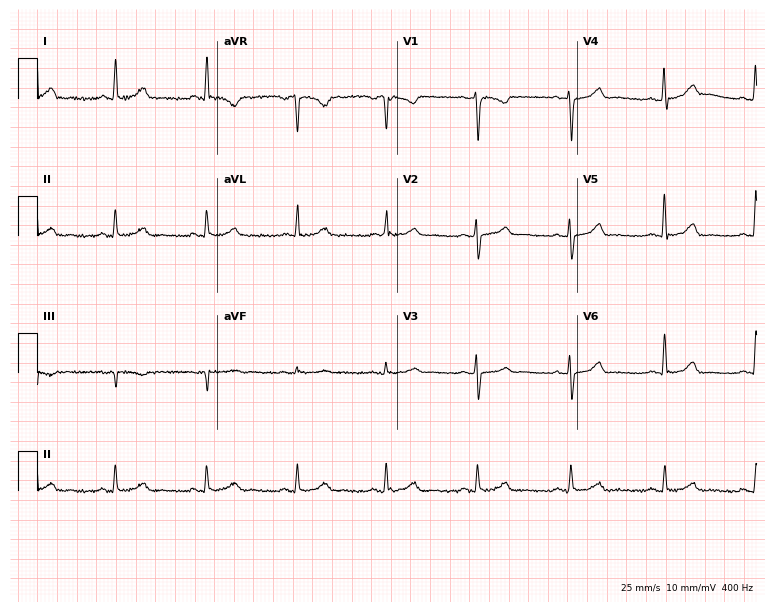
12-lead ECG from a female patient, 45 years old (7.3-second recording at 400 Hz). No first-degree AV block, right bundle branch block, left bundle branch block, sinus bradycardia, atrial fibrillation or sinus tachycardia recorded for this tracing. Other findings, if any, are not listed.